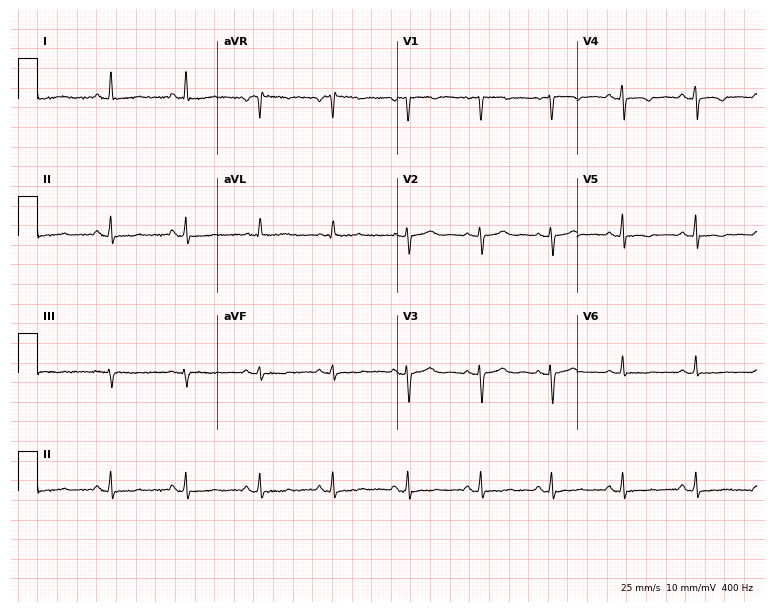
12-lead ECG from a 53-year-old woman. No first-degree AV block, right bundle branch block (RBBB), left bundle branch block (LBBB), sinus bradycardia, atrial fibrillation (AF) or sinus tachycardia recorded for this tracing.